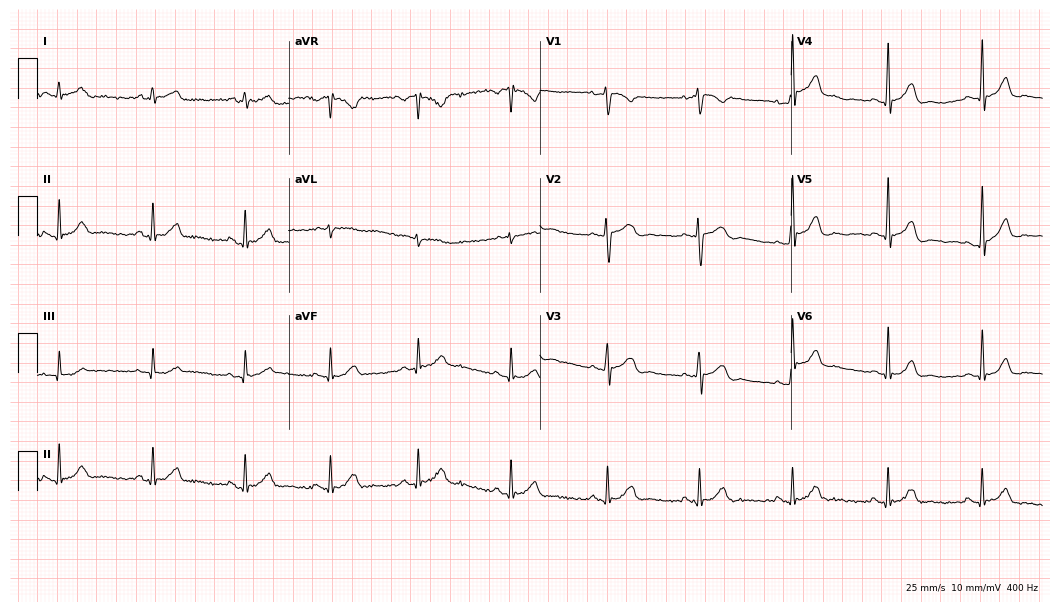
12-lead ECG (10.2-second recording at 400 Hz) from a 31-year-old woman. Labelled as a normal ECG.